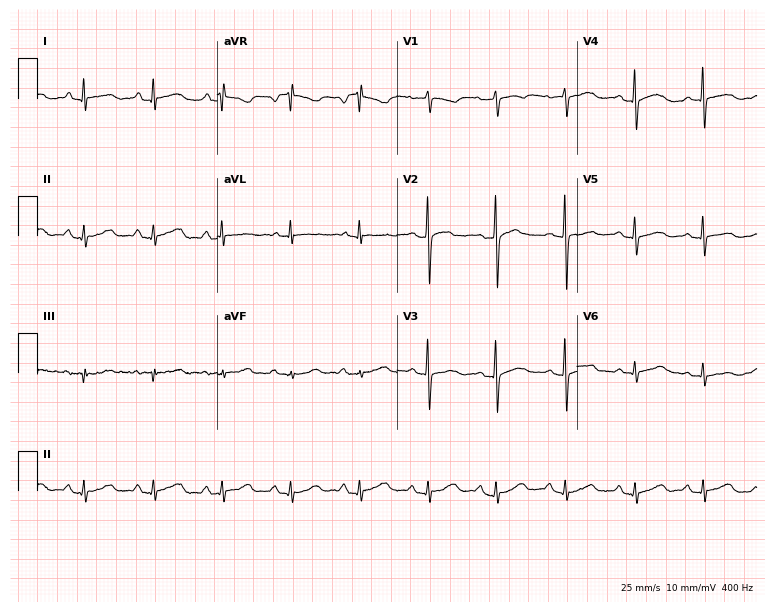
ECG — a woman, 47 years old. Screened for six findings — first-degree AV block, right bundle branch block, left bundle branch block, sinus bradycardia, atrial fibrillation, sinus tachycardia — none is recorded.